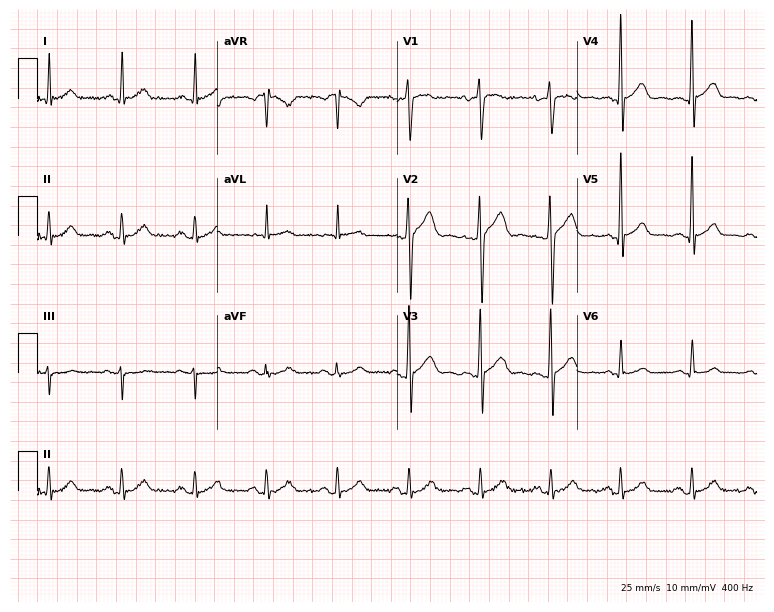
ECG — a 41-year-old male. Screened for six findings — first-degree AV block, right bundle branch block, left bundle branch block, sinus bradycardia, atrial fibrillation, sinus tachycardia — none is recorded.